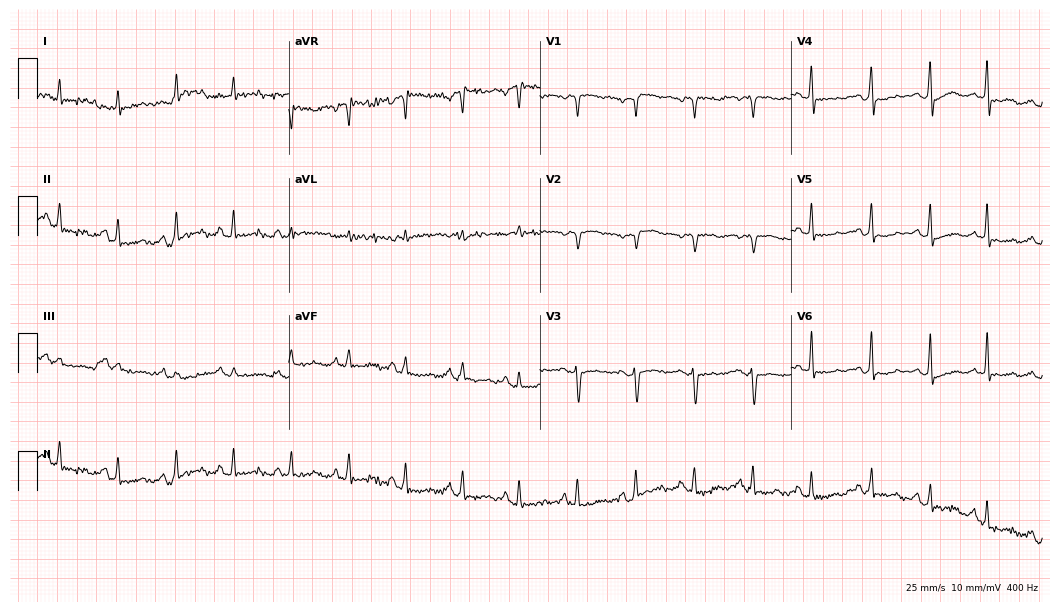
12-lead ECG from a 59-year-old female patient. Screened for six findings — first-degree AV block, right bundle branch block (RBBB), left bundle branch block (LBBB), sinus bradycardia, atrial fibrillation (AF), sinus tachycardia — none is recorded.